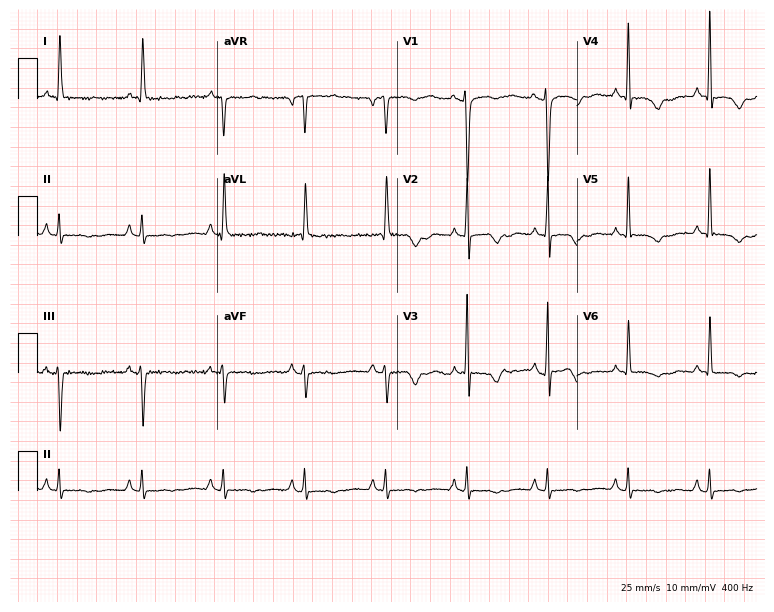
Standard 12-lead ECG recorded from an 86-year-old woman (7.3-second recording at 400 Hz). None of these six findings is recorded: first-degree AV block, right bundle branch block, left bundle branch block, sinus bradycardia, atrial fibrillation, sinus tachycardia. Only these six findings were labelled.